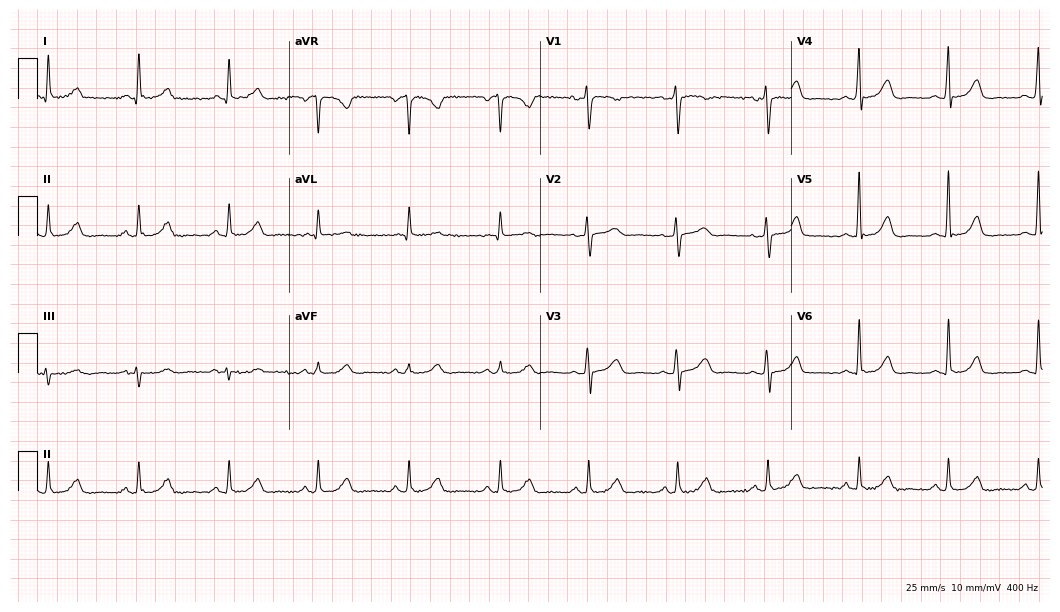
12-lead ECG from a female, 61 years old. Labelled as a normal ECG.